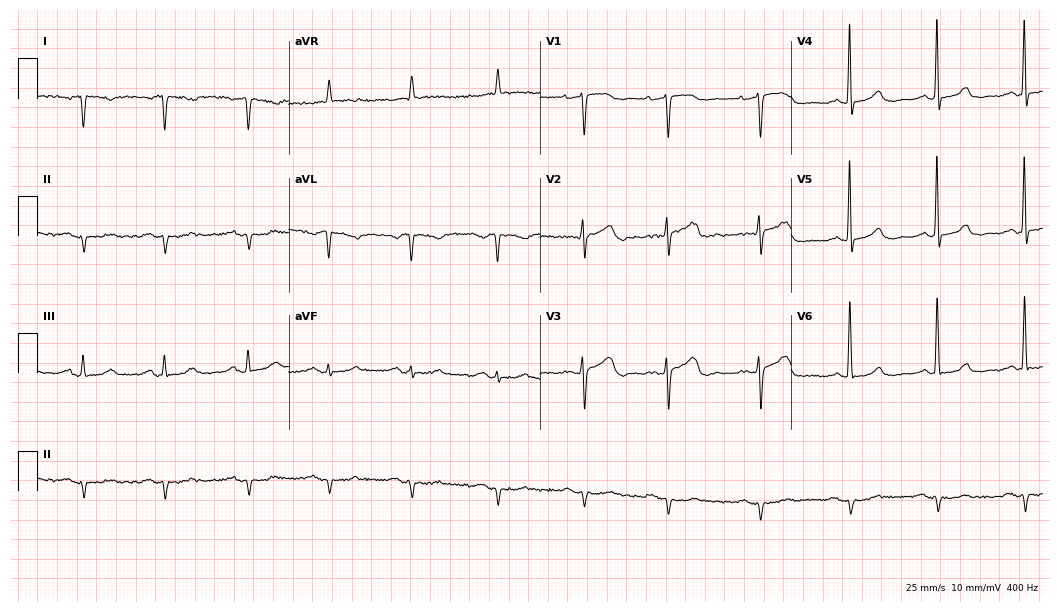
ECG — a 73-year-old female patient. Screened for six findings — first-degree AV block, right bundle branch block, left bundle branch block, sinus bradycardia, atrial fibrillation, sinus tachycardia — none is recorded.